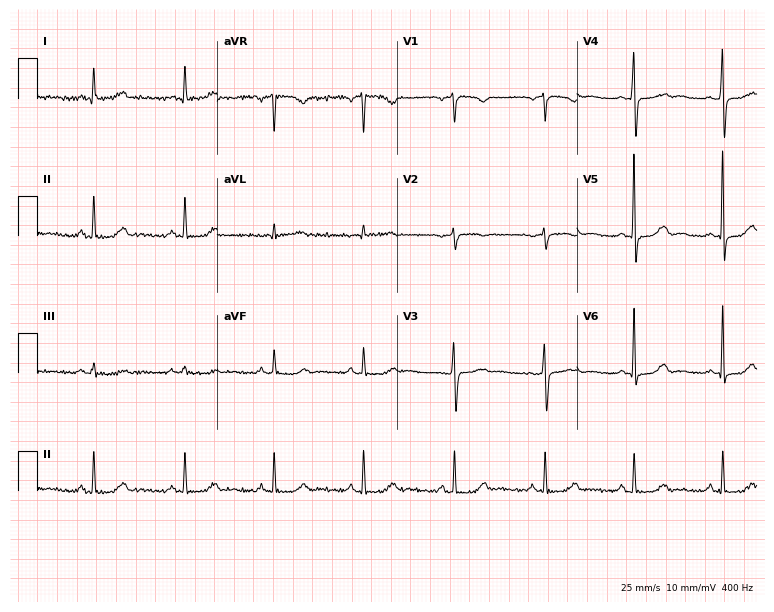
Standard 12-lead ECG recorded from a female, 53 years old (7.3-second recording at 400 Hz). None of these six findings is recorded: first-degree AV block, right bundle branch block, left bundle branch block, sinus bradycardia, atrial fibrillation, sinus tachycardia. Only these six findings were labelled.